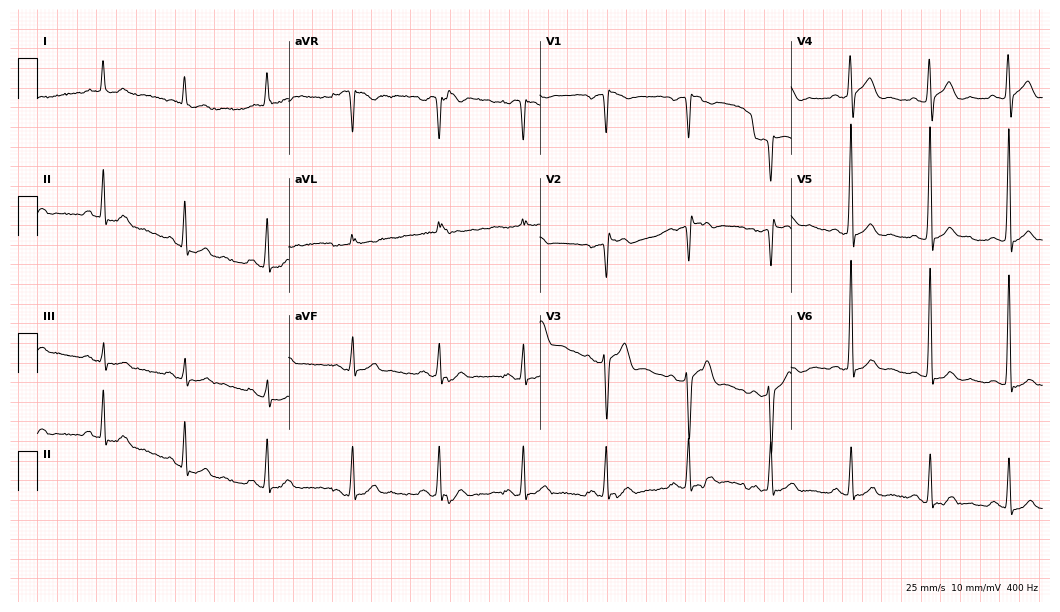
12-lead ECG (10.2-second recording at 400 Hz) from a male, 57 years old. Labelled as a normal ECG.